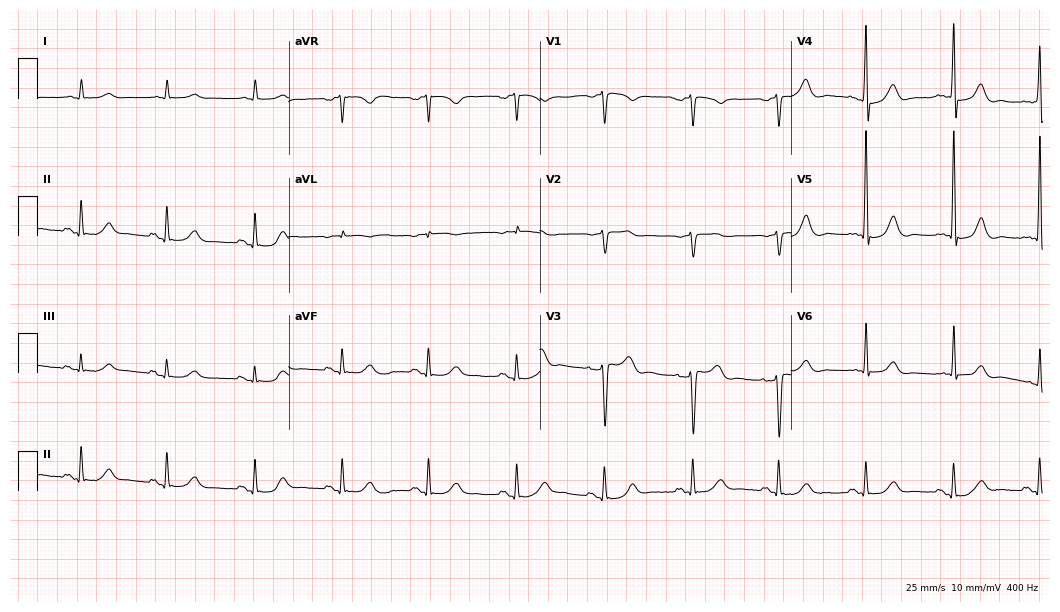
Standard 12-lead ECG recorded from a 71-year-old male. Read as a normal ECG.